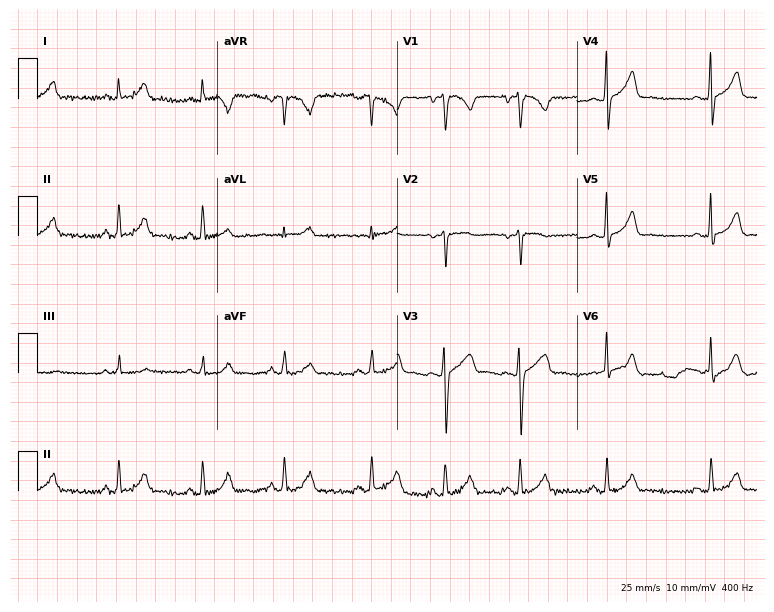
12-lead ECG from a 26-year-old female patient. Labelled as a normal ECG.